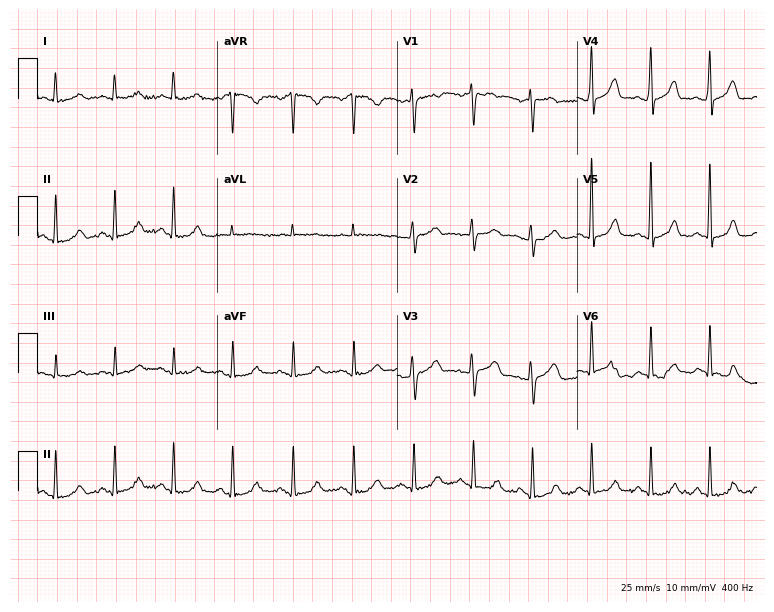
12-lead ECG (7.3-second recording at 400 Hz) from a female, 50 years old. Labelled as a normal ECG.